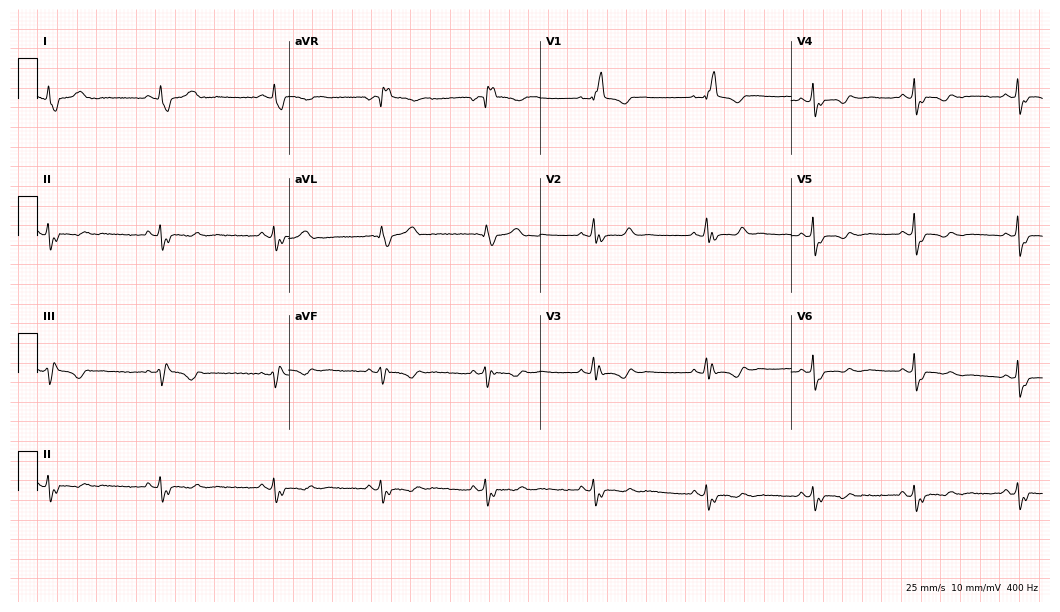
Standard 12-lead ECG recorded from a female patient, 45 years old. None of these six findings is recorded: first-degree AV block, right bundle branch block (RBBB), left bundle branch block (LBBB), sinus bradycardia, atrial fibrillation (AF), sinus tachycardia. Findings outside these six are not listed.